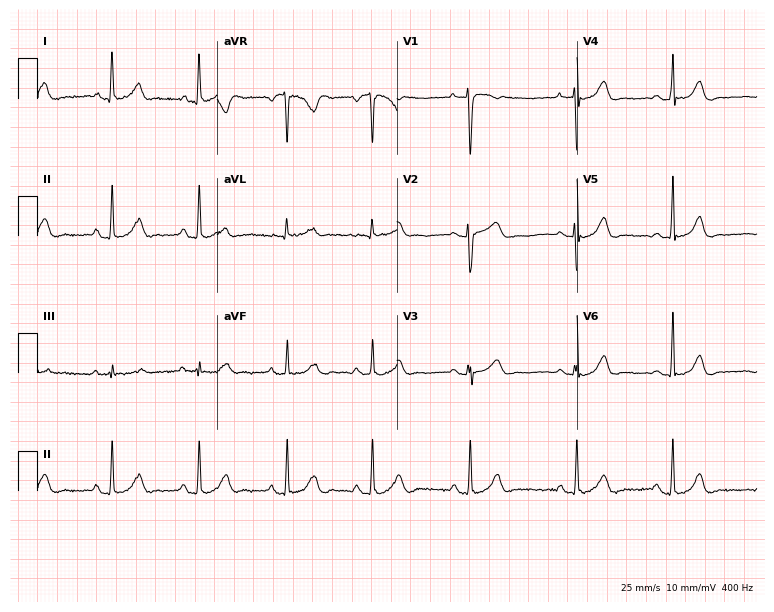
12-lead ECG from a 31-year-old female. Labelled as a normal ECG.